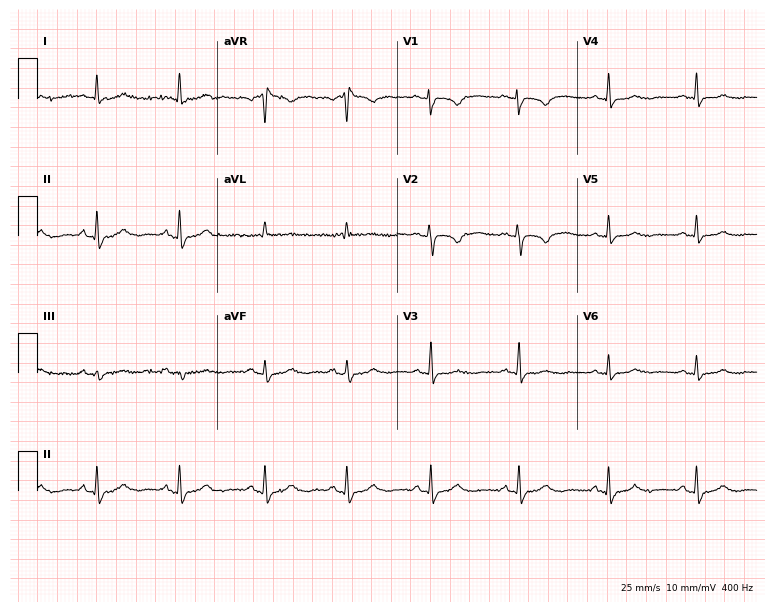
ECG — a 50-year-old woman. Labelled as a normal ECG.